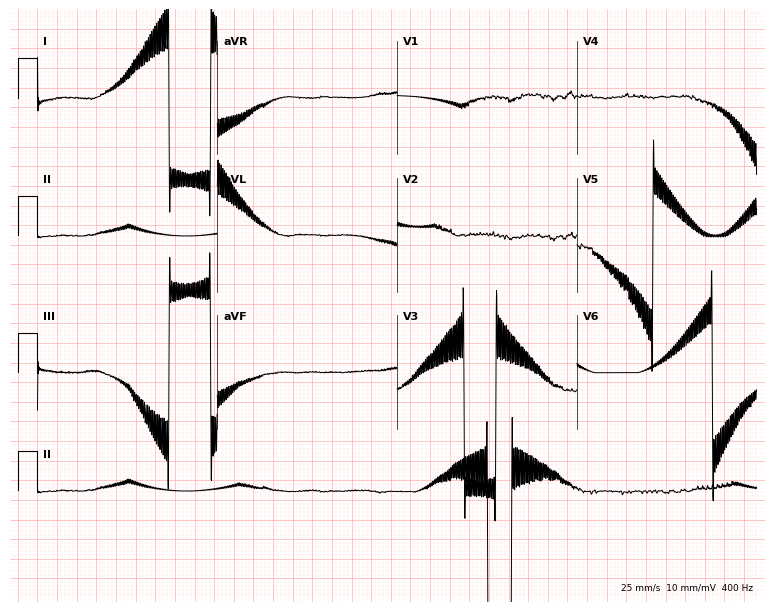
12-lead ECG (7.3-second recording at 400 Hz) from a male, 35 years old. Screened for six findings — first-degree AV block, right bundle branch block (RBBB), left bundle branch block (LBBB), sinus bradycardia, atrial fibrillation (AF), sinus tachycardia — none is recorded. Findings outside these six are not listed.